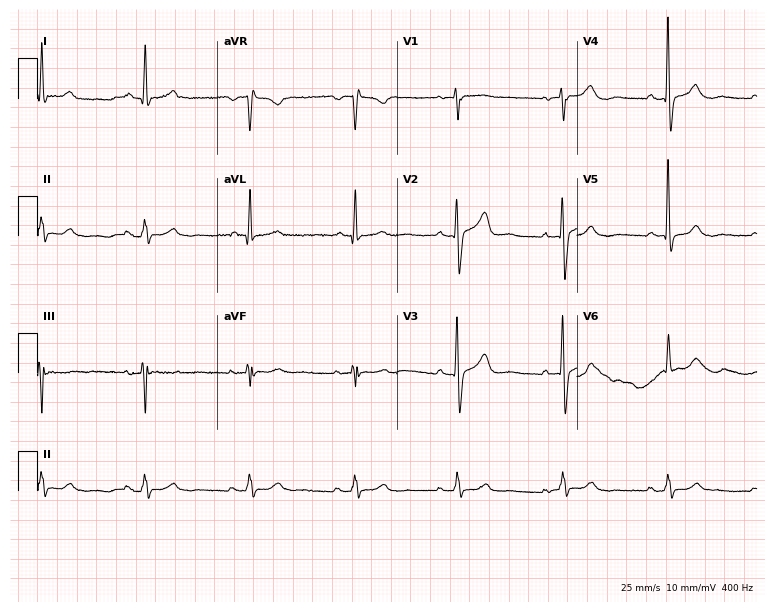
12-lead ECG (7.3-second recording at 400 Hz) from an 82-year-old male patient. Labelled as a normal ECG.